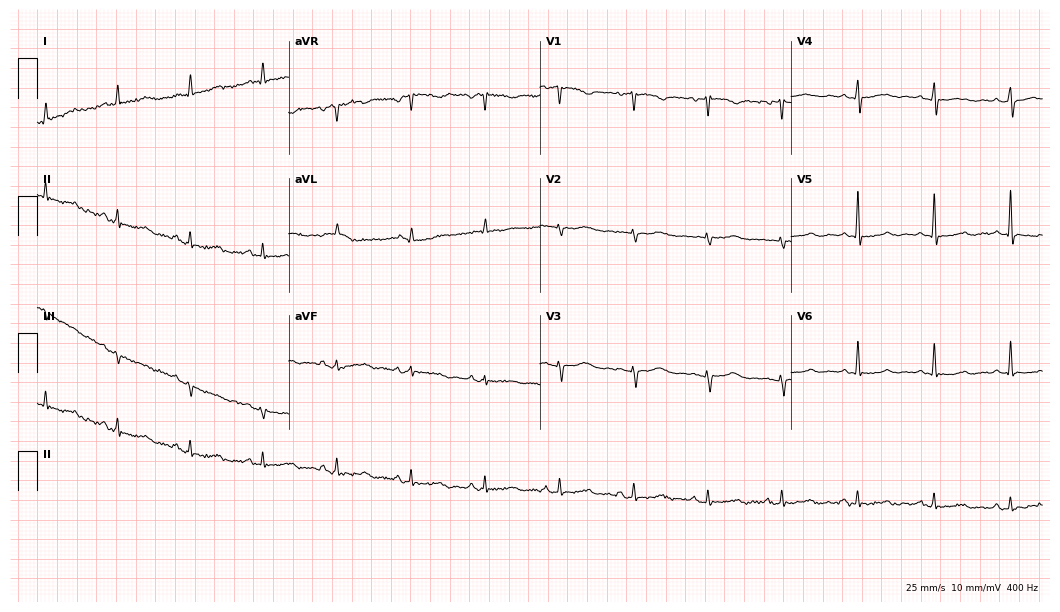
Resting 12-lead electrocardiogram (10.2-second recording at 400 Hz). Patient: a 74-year-old woman. None of these six findings is recorded: first-degree AV block, right bundle branch block (RBBB), left bundle branch block (LBBB), sinus bradycardia, atrial fibrillation (AF), sinus tachycardia.